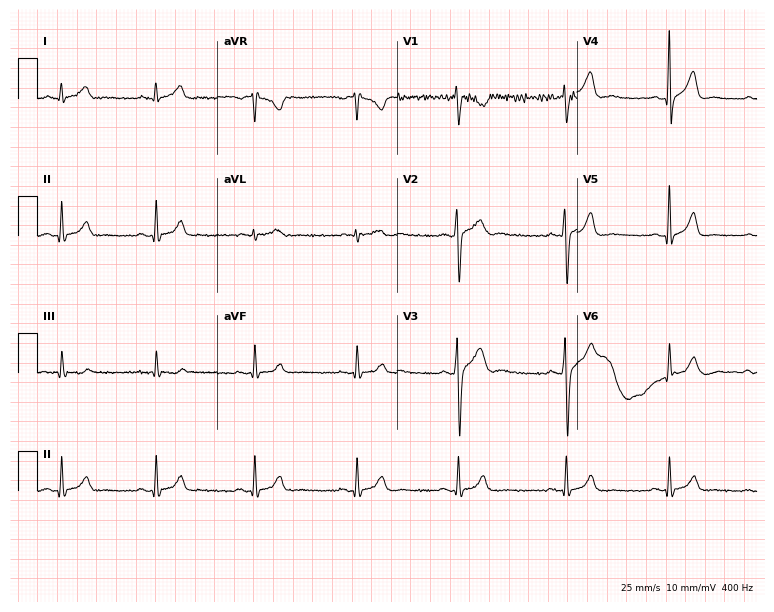
Electrocardiogram (7.3-second recording at 400 Hz), a male patient, 33 years old. Overall reading on record: normal ECG.